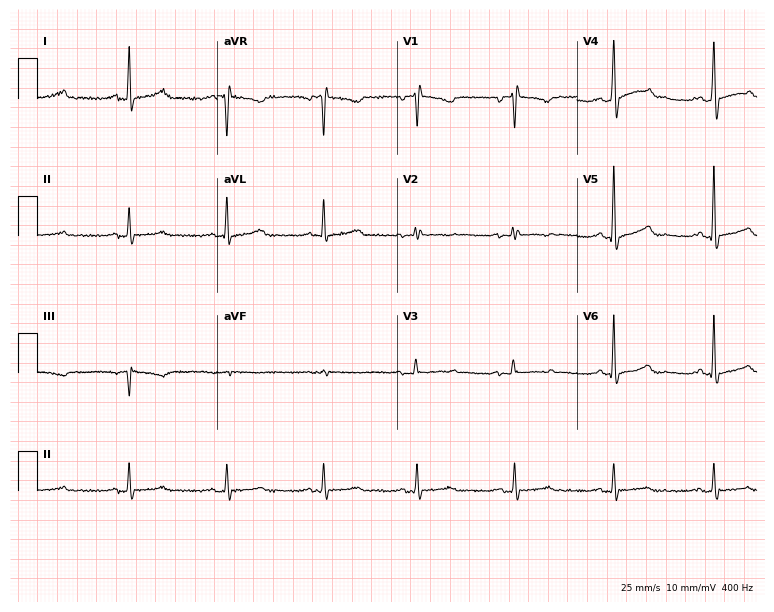
12-lead ECG (7.3-second recording at 400 Hz) from a female patient, 46 years old. Screened for six findings — first-degree AV block, right bundle branch block, left bundle branch block, sinus bradycardia, atrial fibrillation, sinus tachycardia — none is recorded. Only these six findings were labelled.